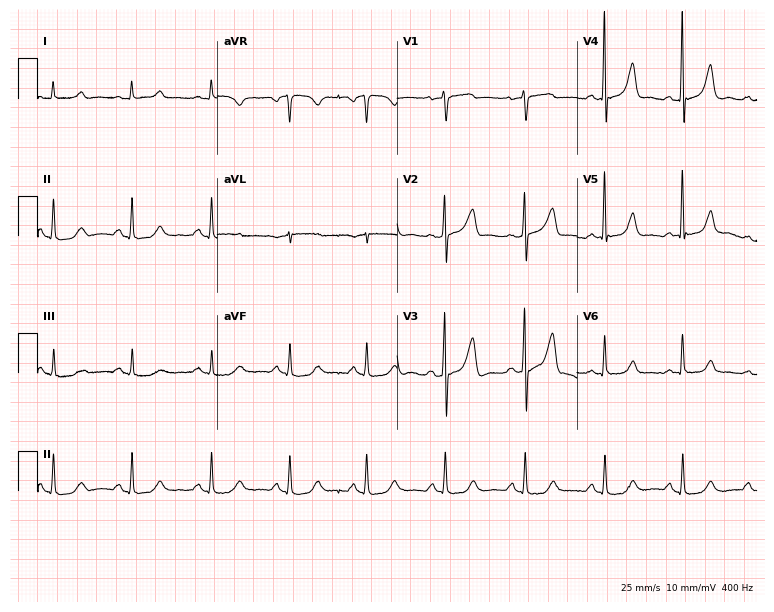
12-lead ECG from a 59-year-old female patient (7.3-second recording at 400 Hz). No first-degree AV block, right bundle branch block, left bundle branch block, sinus bradycardia, atrial fibrillation or sinus tachycardia recorded for this tracing.